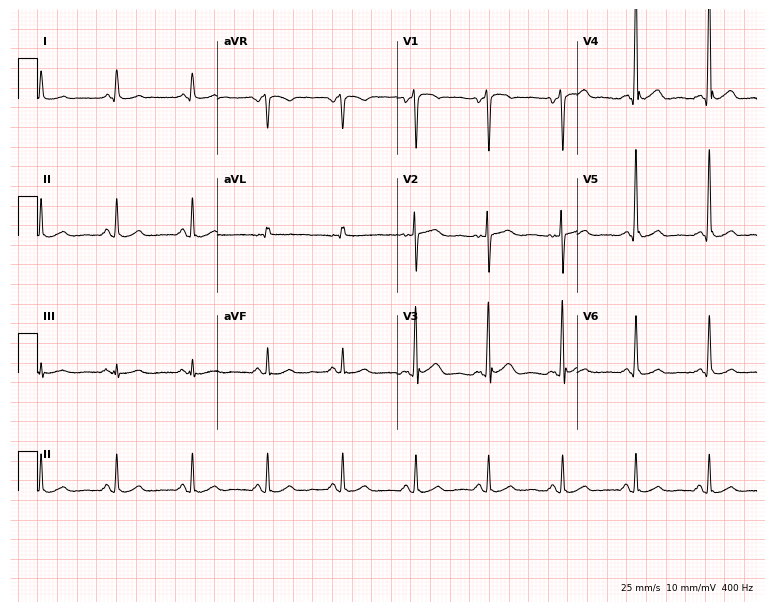
ECG — a male, 44 years old. Screened for six findings — first-degree AV block, right bundle branch block (RBBB), left bundle branch block (LBBB), sinus bradycardia, atrial fibrillation (AF), sinus tachycardia — none is recorded. Findings outside these six are not listed.